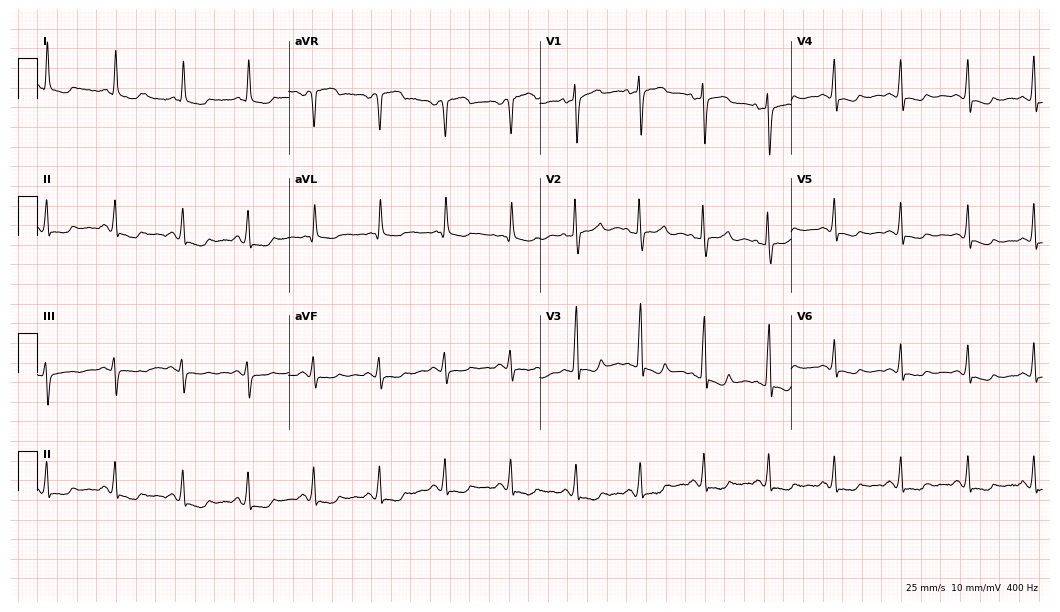
Resting 12-lead electrocardiogram (10.2-second recording at 400 Hz). Patient: a 69-year-old woman. None of these six findings is recorded: first-degree AV block, right bundle branch block, left bundle branch block, sinus bradycardia, atrial fibrillation, sinus tachycardia.